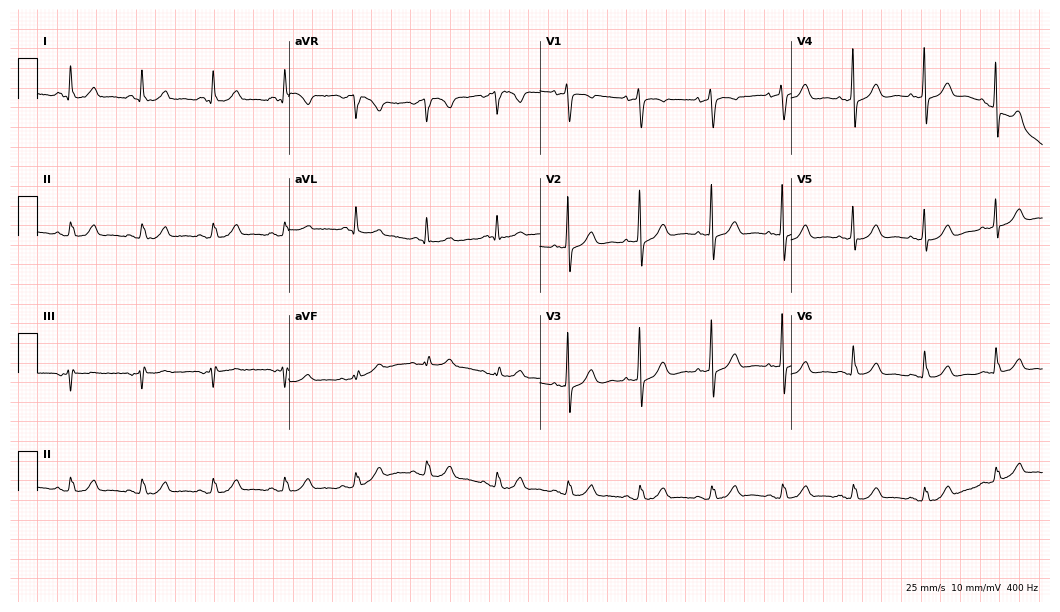
Resting 12-lead electrocardiogram (10.2-second recording at 400 Hz). Patient: an 81-year-old female. Read as a normal ECG.